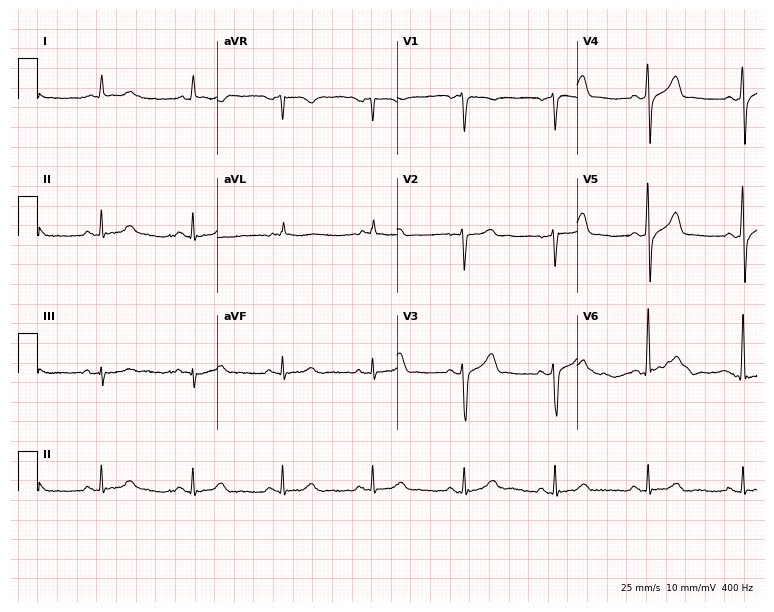
12-lead ECG from a male patient, 75 years old. Labelled as a normal ECG.